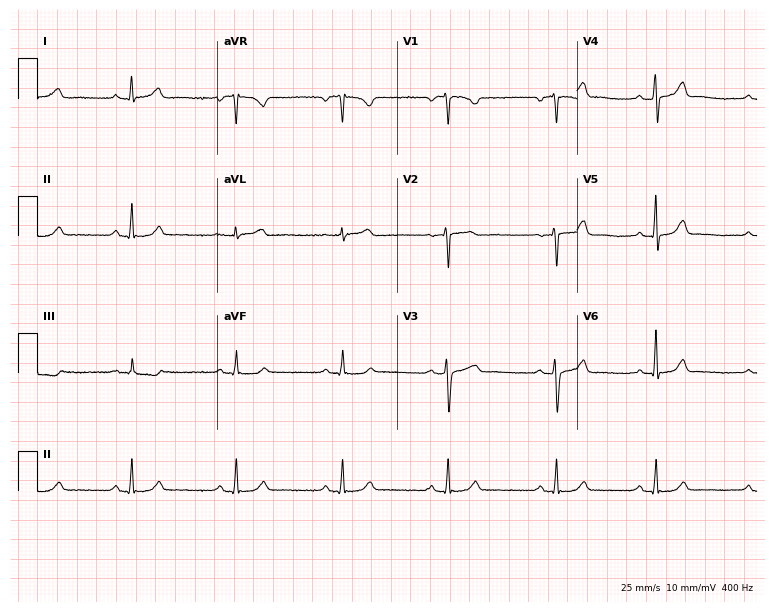
12-lead ECG (7.3-second recording at 400 Hz) from a female, 31 years old. Labelled as a normal ECG.